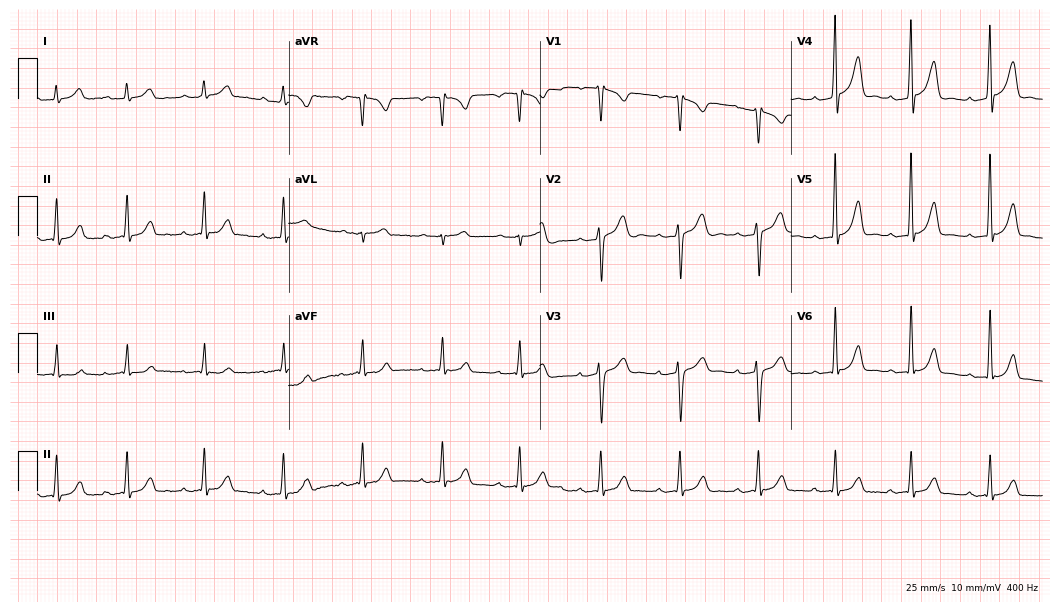
12-lead ECG from a 17-year-old male (10.2-second recording at 400 Hz). Shows first-degree AV block.